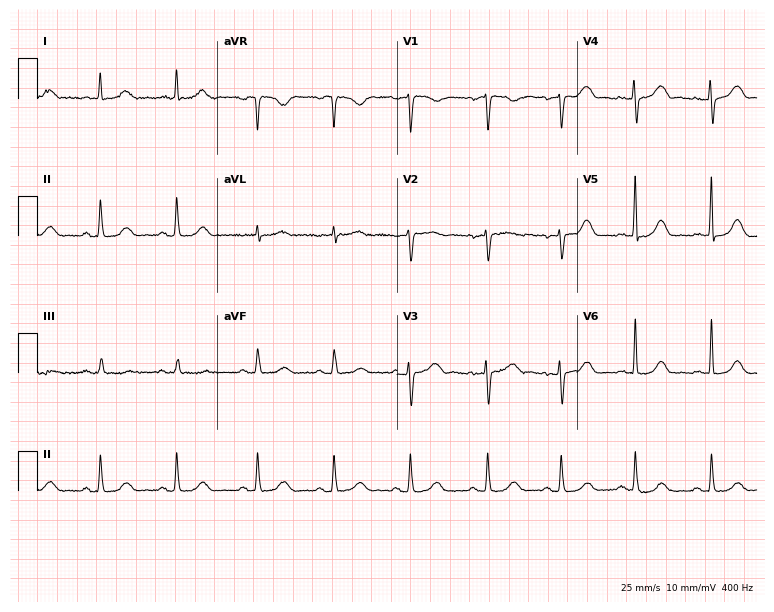
Standard 12-lead ECG recorded from a female patient, 51 years old (7.3-second recording at 400 Hz). None of these six findings is recorded: first-degree AV block, right bundle branch block, left bundle branch block, sinus bradycardia, atrial fibrillation, sinus tachycardia. Findings outside these six are not listed.